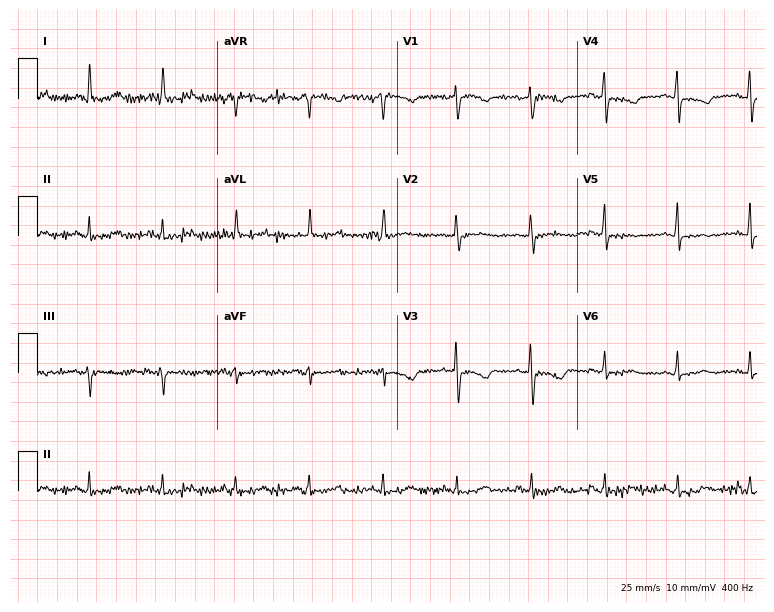
Resting 12-lead electrocardiogram. Patient: a 51-year-old female. None of these six findings is recorded: first-degree AV block, right bundle branch block, left bundle branch block, sinus bradycardia, atrial fibrillation, sinus tachycardia.